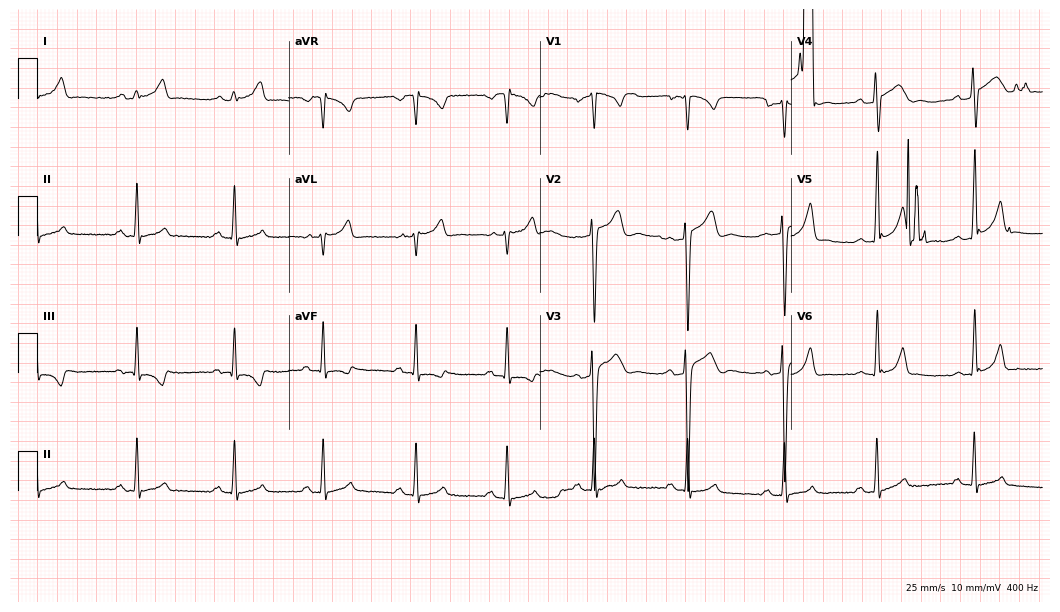
Electrocardiogram (10.2-second recording at 400 Hz), a 28-year-old man. Of the six screened findings (first-degree AV block, right bundle branch block (RBBB), left bundle branch block (LBBB), sinus bradycardia, atrial fibrillation (AF), sinus tachycardia), none is recorded. Only these six findings were labelled.